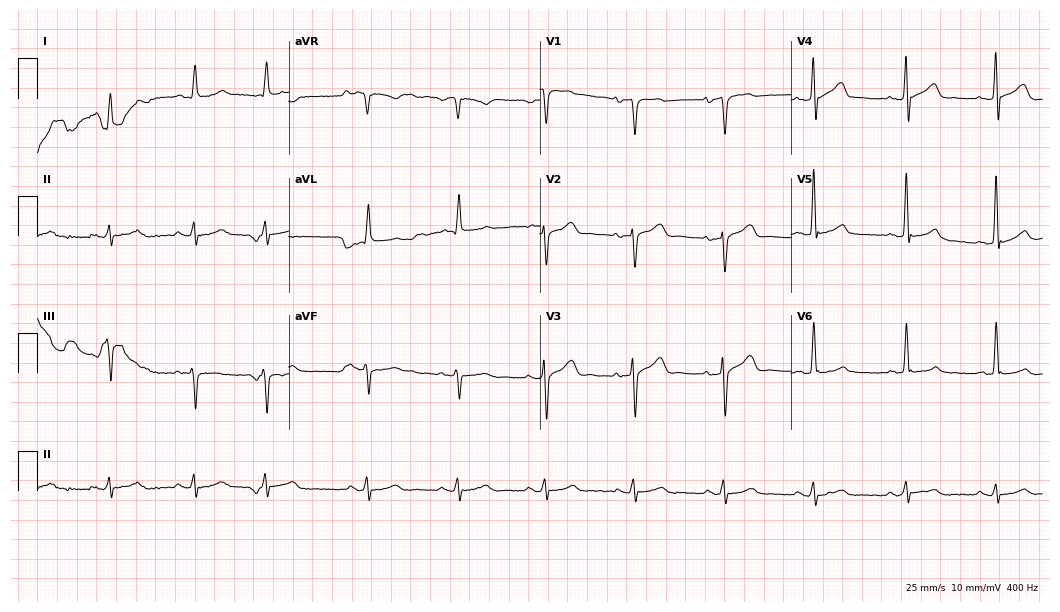
12-lead ECG (10.2-second recording at 400 Hz) from a 71-year-old man. Screened for six findings — first-degree AV block, right bundle branch block, left bundle branch block, sinus bradycardia, atrial fibrillation, sinus tachycardia — none is recorded. Findings outside these six are not listed.